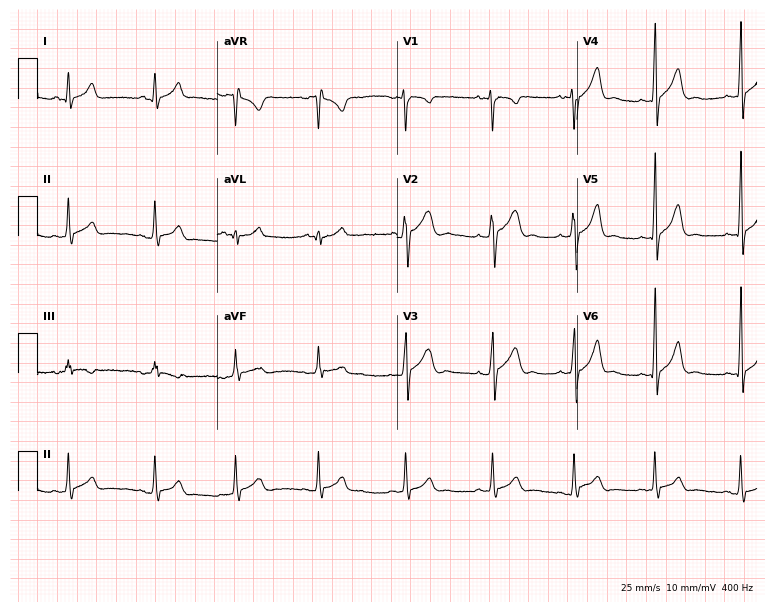
12-lead ECG from a 17-year-old male patient. Labelled as a normal ECG.